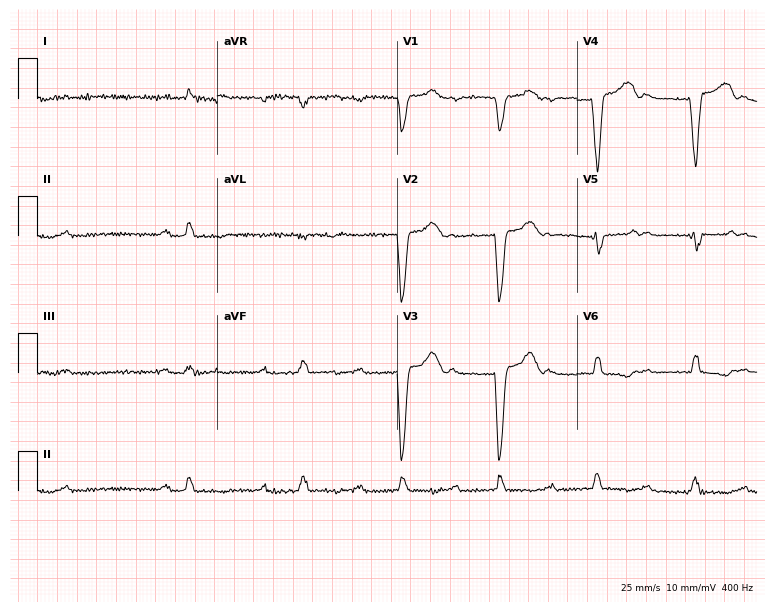
12-lead ECG from a 57-year-old man. Findings include left bundle branch block.